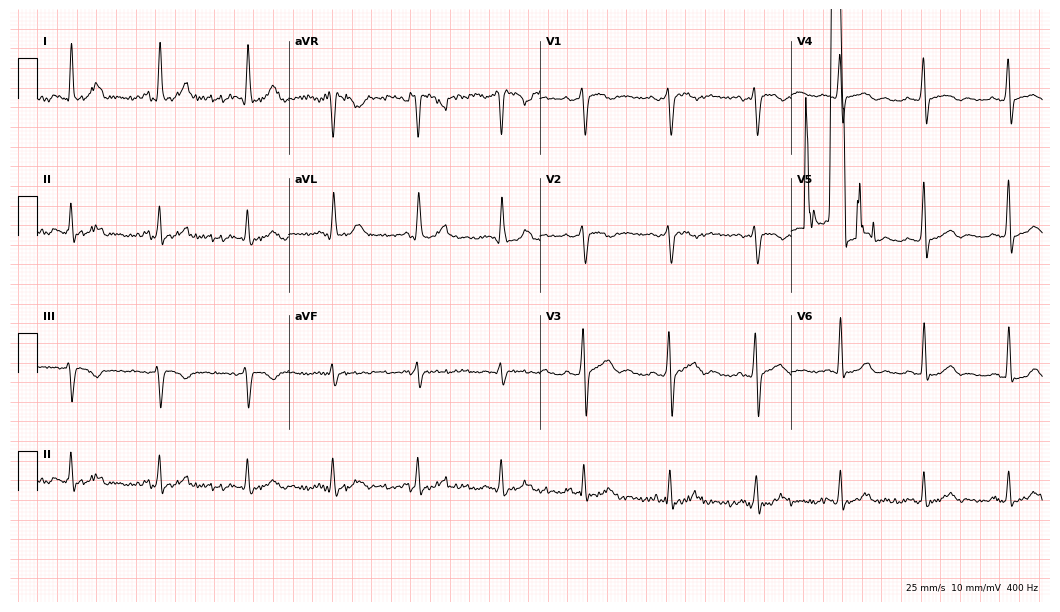
Electrocardiogram (10.2-second recording at 400 Hz), a male patient, 29 years old. Of the six screened findings (first-degree AV block, right bundle branch block, left bundle branch block, sinus bradycardia, atrial fibrillation, sinus tachycardia), none is recorded.